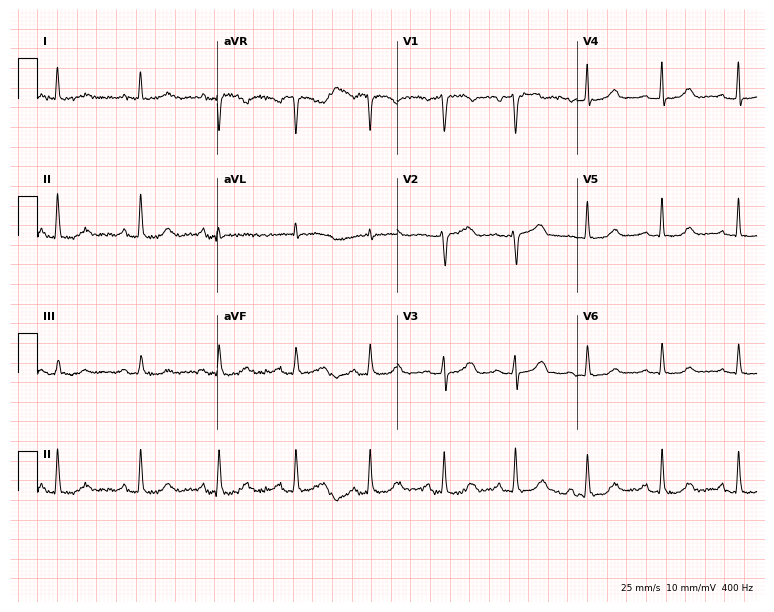
Electrocardiogram, a female patient, 61 years old. Overall reading on record: normal ECG.